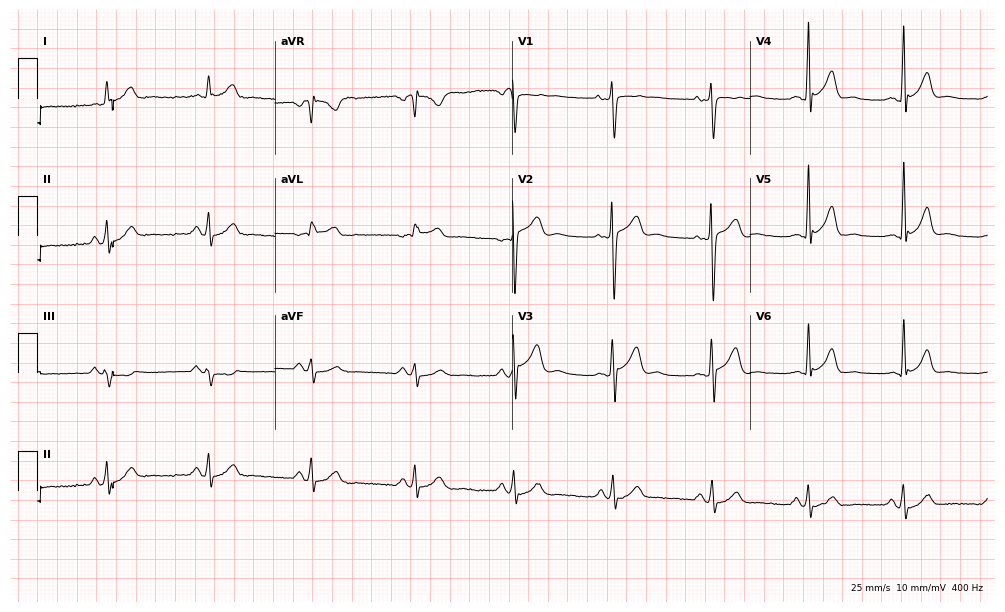
12-lead ECG (9.7-second recording at 400 Hz) from a 36-year-old male patient. Screened for six findings — first-degree AV block, right bundle branch block (RBBB), left bundle branch block (LBBB), sinus bradycardia, atrial fibrillation (AF), sinus tachycardia — none is recorded. Only these six findings were labelled.